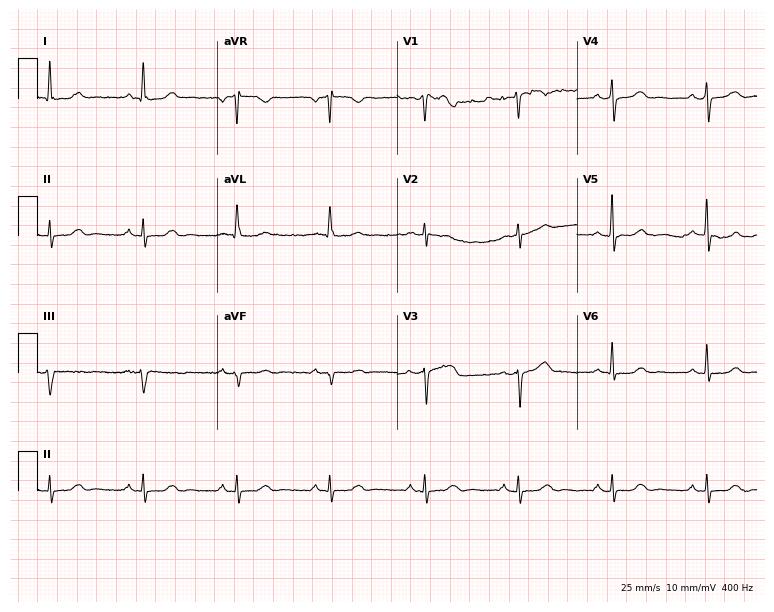
12-lead ECG from a woman, 63 years old. Labelled as a normal ECG.